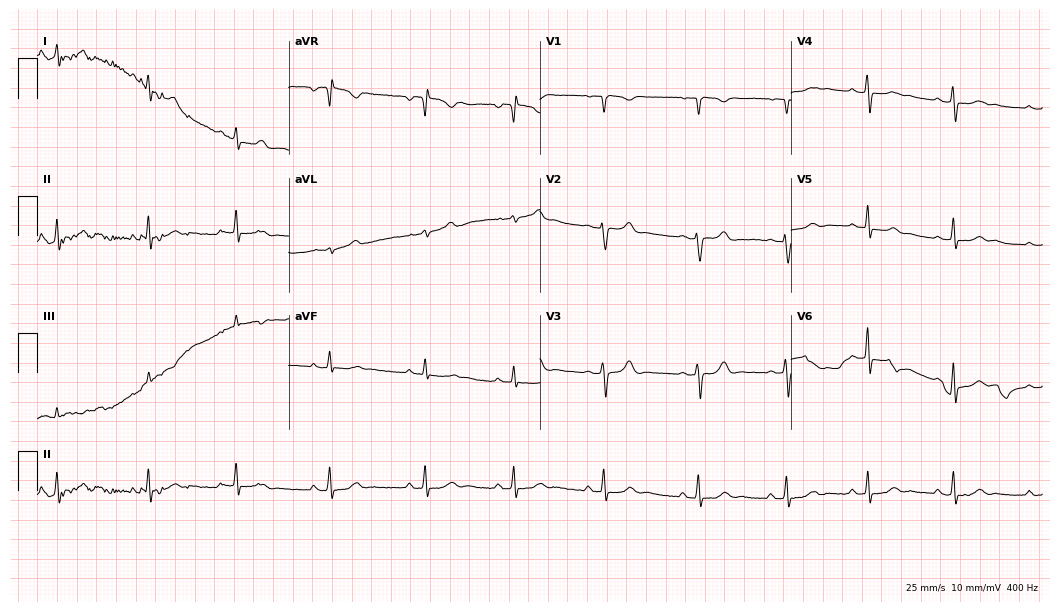
12-lead ECG from a 20-year-old woman. No first-degree AV block, right bundle branch block (RBBB), left bundle branch block (LBBB), sinus bradycardia, atrial fibrillation (AF) or sinus tachycardia recorded for this tracing. Other findings, if any, are not listed.